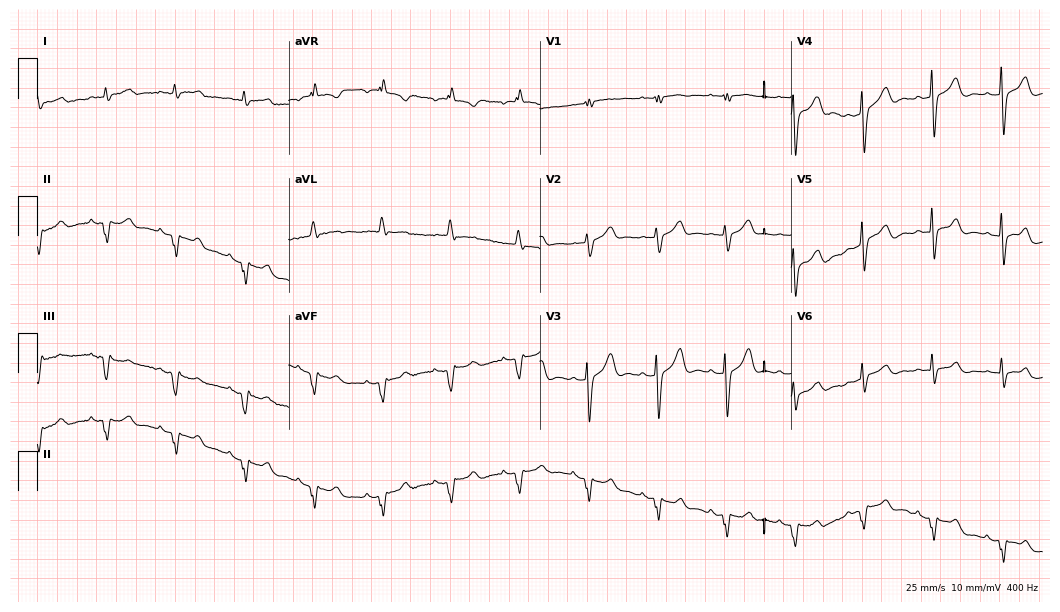
12-lead ECG from a 77-year-old male patient. No first-degree AV block, right bundle branch block, left bundle branch block, sinus bradycardia, atrial fibrillation or sinus tachycardia recorded for this tracing.